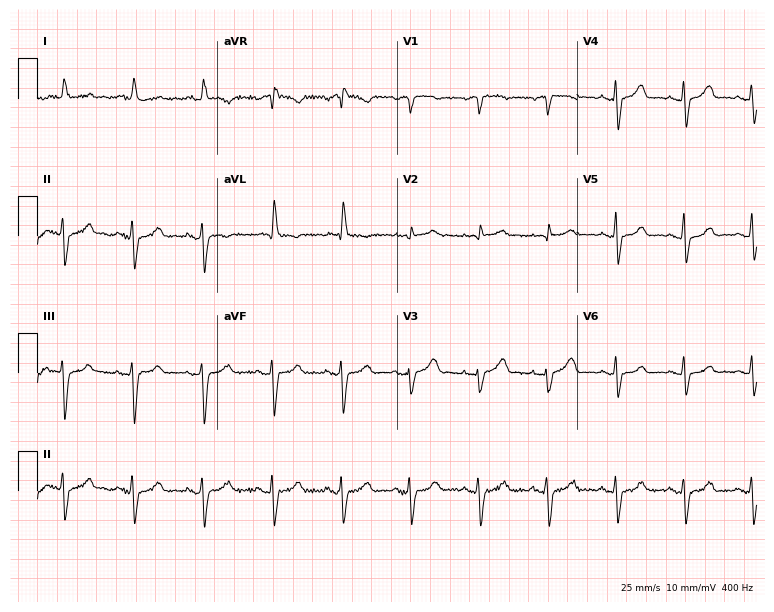
12-lead ECG from a male, 84 years old. No first-degree AV block, right bundle branch block (RBBB), left bundle branch block (LBBB), sinus bradycardia, atrial fibrillation (AF) or sinus tachycardia recorded for this tracing.